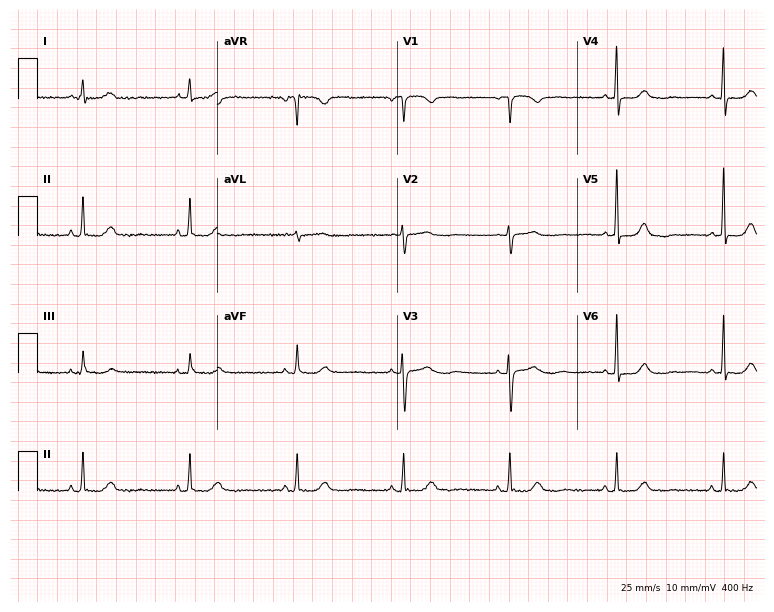
Standard 12-lead ECG recorded from a female patient, 67 years old (7.3-second recording at 400 Hz). Read as a normal ECG.